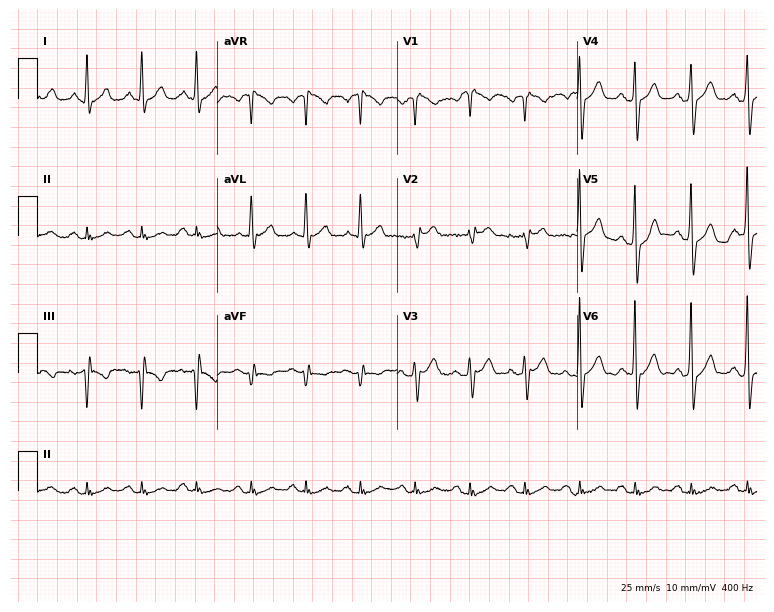
ECG — a man, 60 years old. Screened for six findings — first-degree AV block, right bundle branch block, left bundle branch block, sinus bradycardia, atrial fibrillation, sinus tachycardia — none is recorded. Other findings, if any, are not listed.